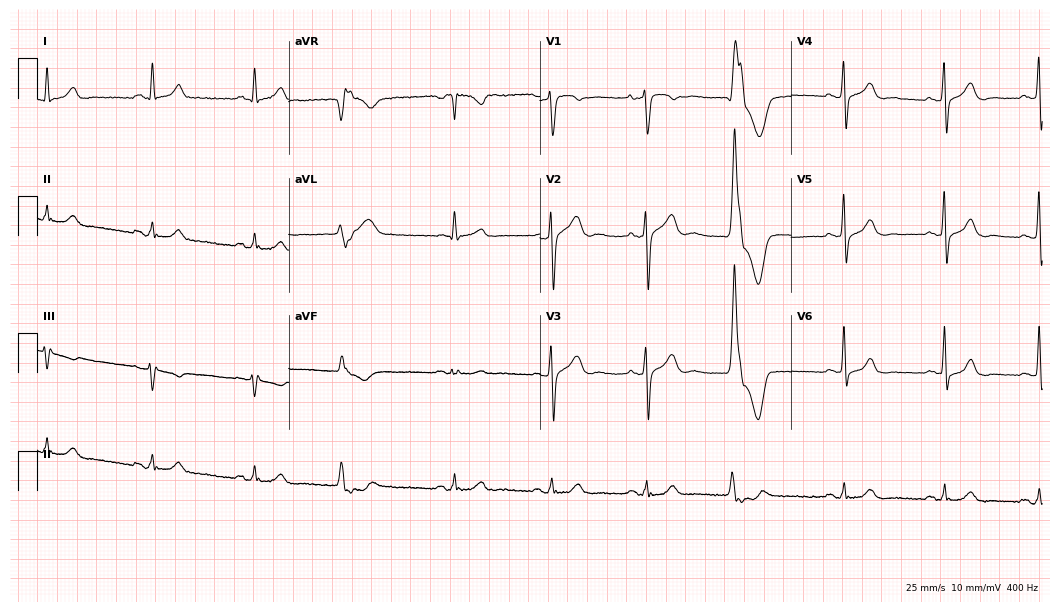
Electrocardiogram (10.2-second recording at 400 Hz), a man, 71 years old. Of the six screened findings (first-degree AV block, right bundle branch block (RBBB), left bundle branch block (LBBB), sinus bradycardia, atrial fibrillation (AF), sinus tachycardia), none is recorded. Only these six findings were labelled.